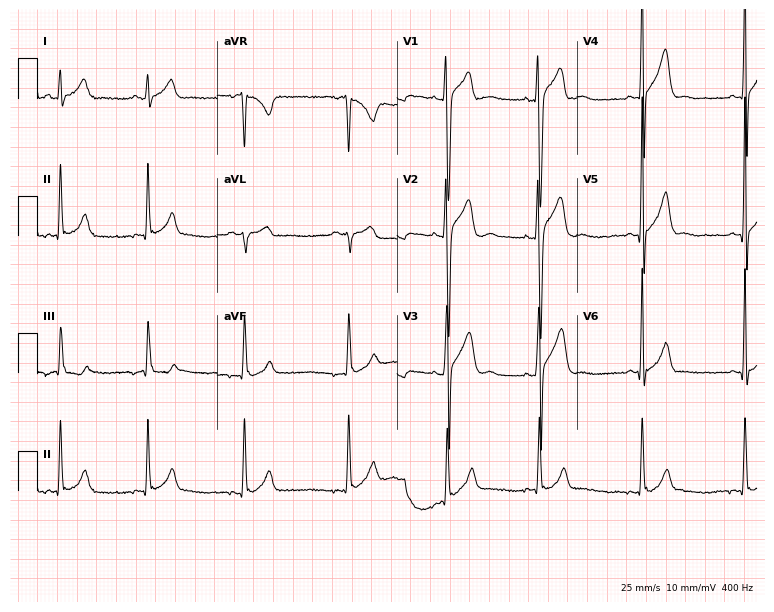
Standard 12-lead ECG recorded from a 20-year-old man (7.3-second recording at 400 Hz). None of these six findings is recorded: first-degree AV block, right bundle branch block (RBBB), left bundle branch block (LBBB), sinus bradycardia, atrial fibrillation (AF), sinus tachycardia.